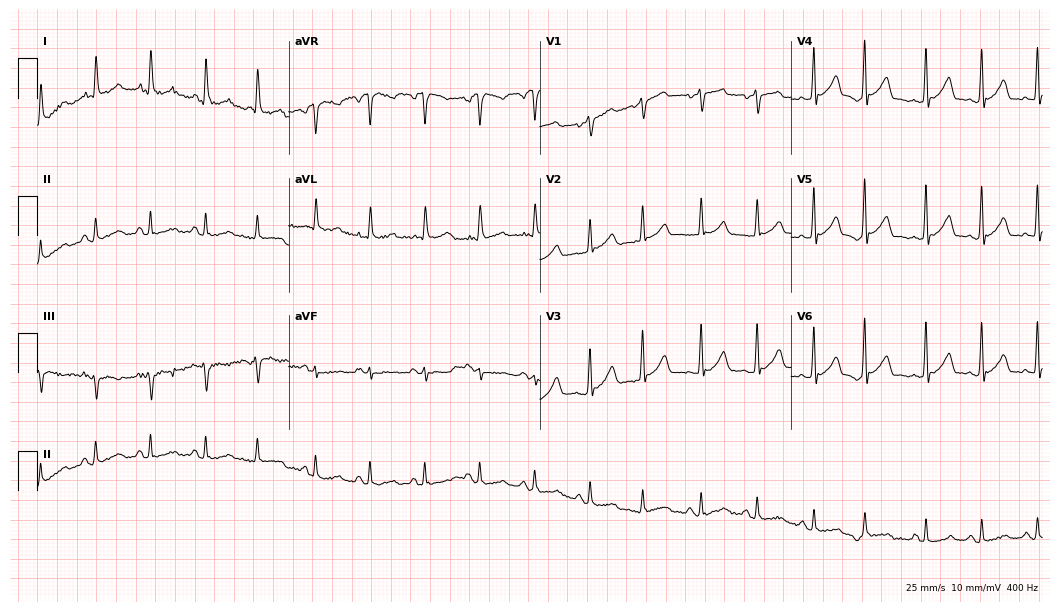
12-lead ECG from a 67-year-old female patient. Findings include sinus tachycardia (a sinus rate of 100 beats per minute or more).